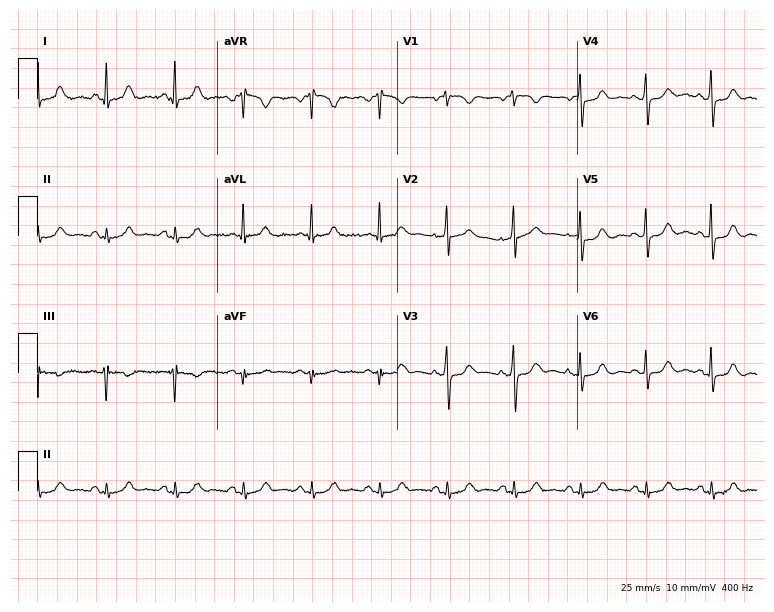
Resting 12-lead electrocardiogram (7.3-second recording at 400 Hz). Patient: a female, 78 years old. None of these six findings is recorded: first-degree AV block, right bundle branch block, left bundle branch block, sinus bradycardia, atrial fibrillation, sinus tachycardia. Only these six findings were labelled.